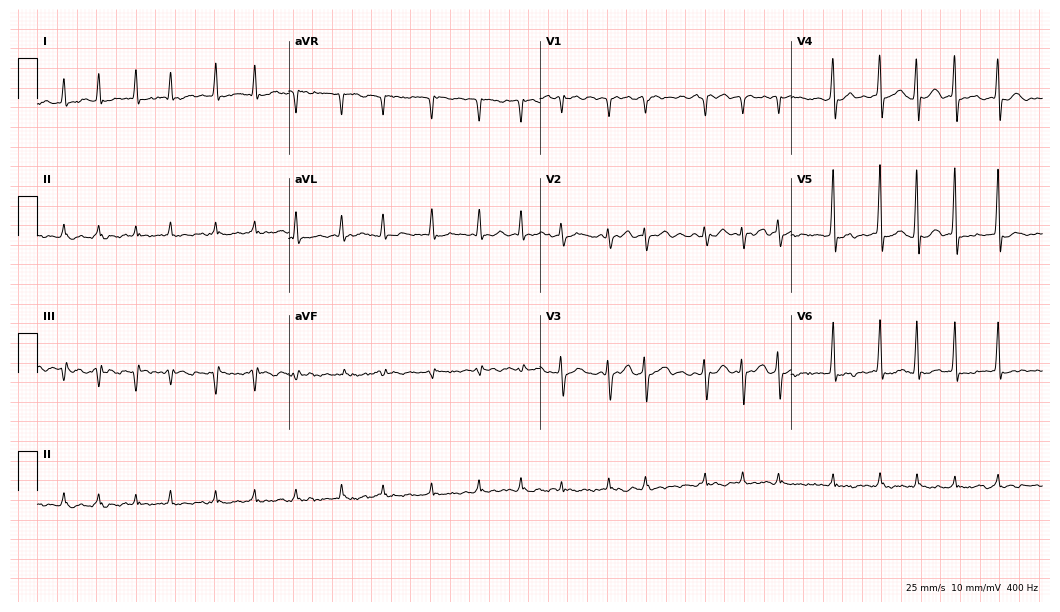
12-lead ECG (10.2-second recording at 400 Hz) from a 59-year-old man. Findings include atrial fibrillation.